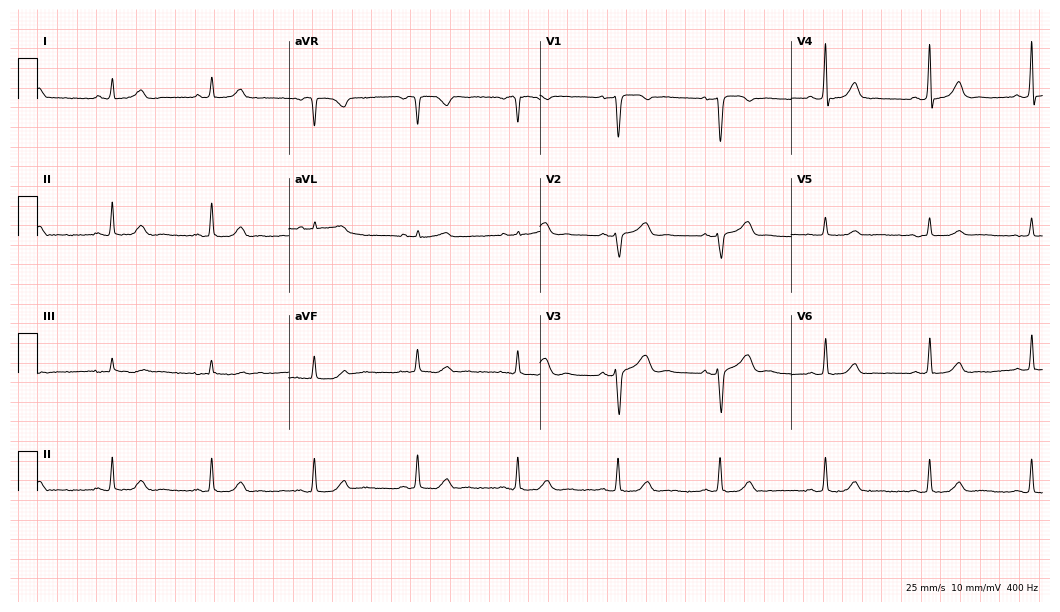
Electrocardiogram (10.2-second recording at 400 Hz), a 59-year-old female. Of the six screened findings (first-degree AV block, right bundle branch block, left bundle branch block, sinus bradycardia, atrial fibrillation, sinus tachycardia), none is recorded. Only these six findings were labelled.